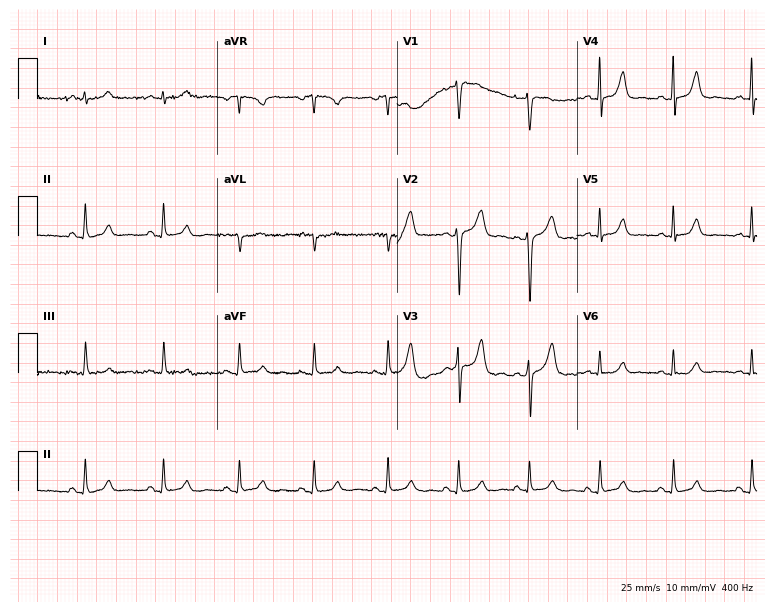
Resting 12-lead electrocardiogram (7.3-second recording at 400 Hz). Patient: a 41-year-old woman. None of these six findings is recorded: first-degree AV block, right bundle branch block, left bundle branch block, sinus bradycardia, atrial fibrillation, sinus tachycardia. Findings outside these six are not listed.